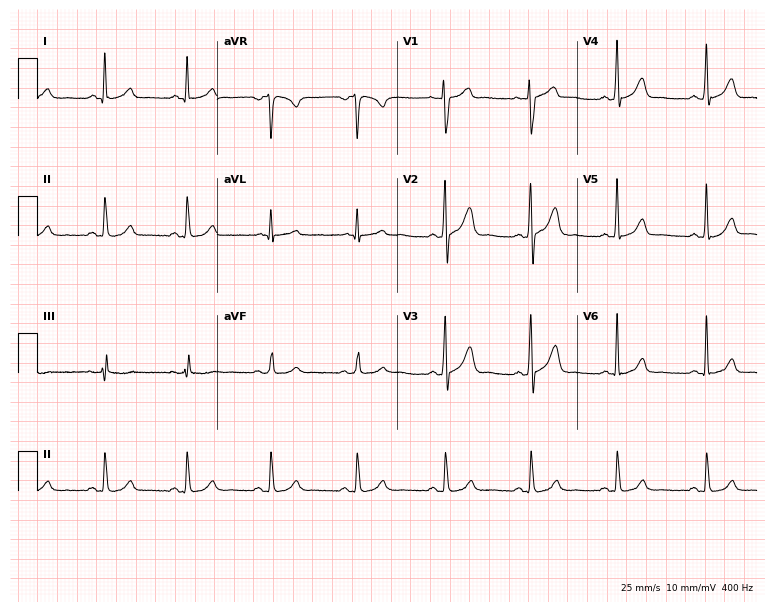
Standard 12-lead ECG recorded from a female patient, 48 years old. Read as a normal ECG.